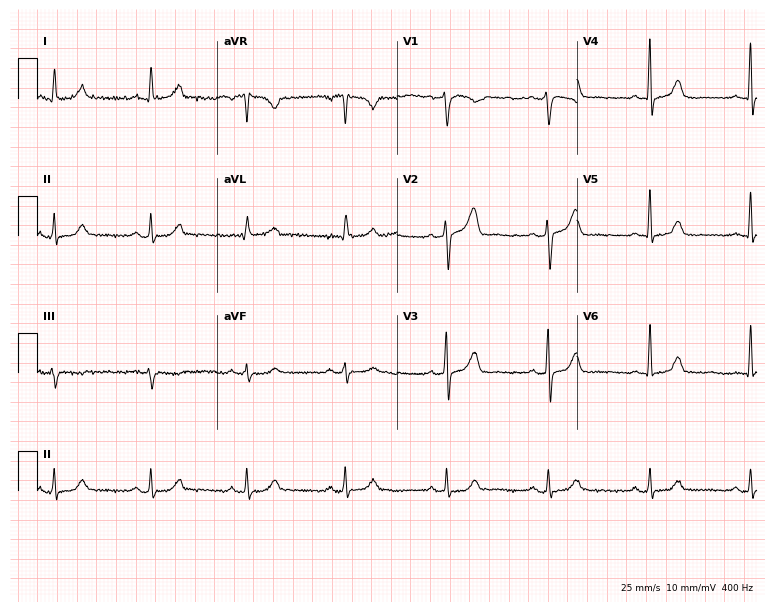
ECG — a 59-year-old female. Labelled as a normal ECG.